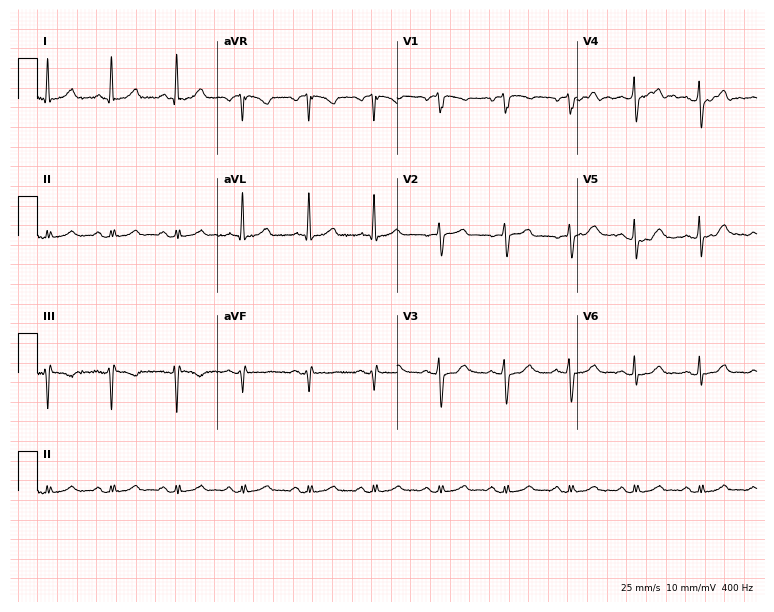
12-lead ECG from a female patient, 53 years old. Recorded interpretation: within normal limits.